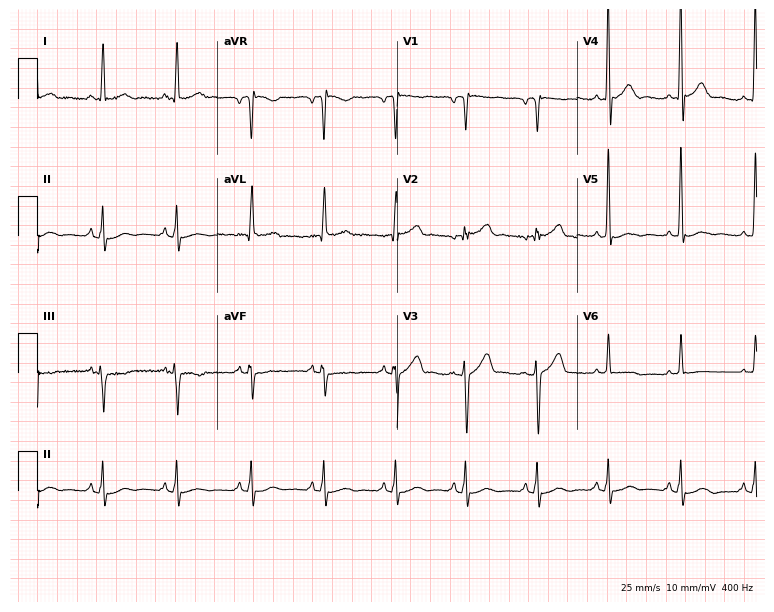
12-lead ECG from a 52-year-old male. No first-degree AV block, right bundle branch block (RBBB), left bundle branch block (LBBB), sinus bradycardia, atrial fibrillation (AF) or sinus tachycardia recorded for this tracing.